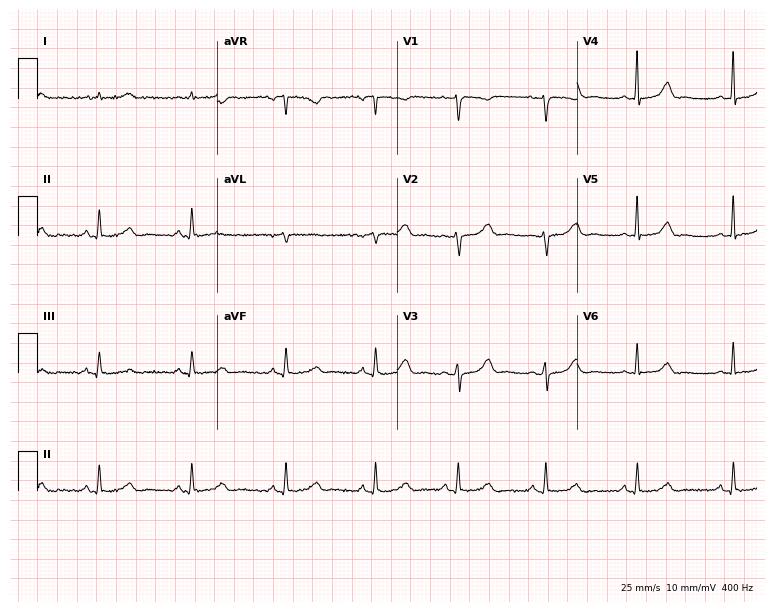
12-lead ECG (7.3-second recording at 400 Hz) from a 45-year-old female. Labelled as a normal ECG.